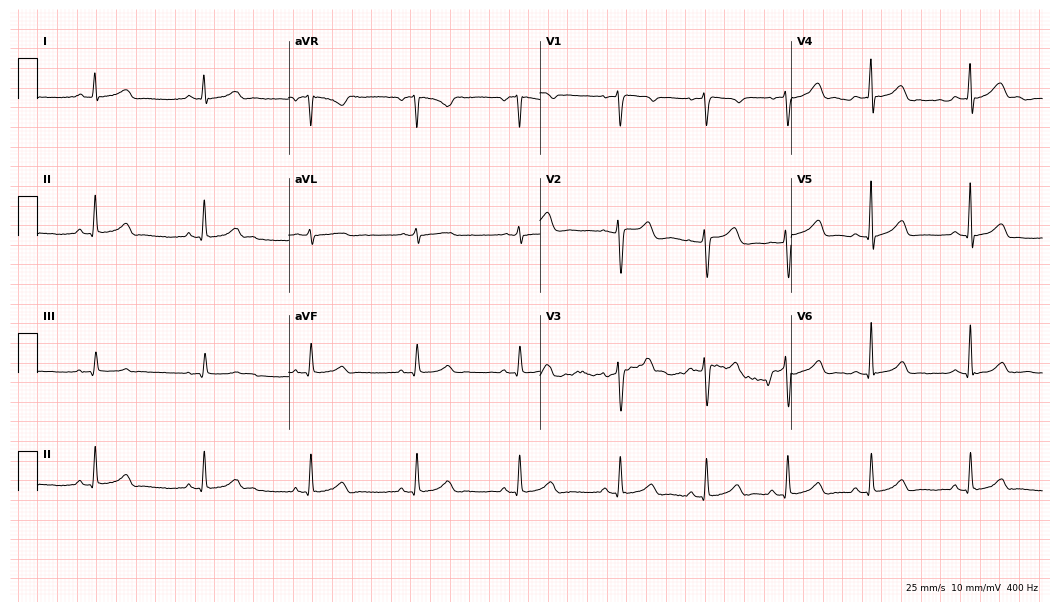
Electrocardiogram (10.2-second recording at 400 Hz), a 37-year-old female patient. Overall reading on record: normal ECG.